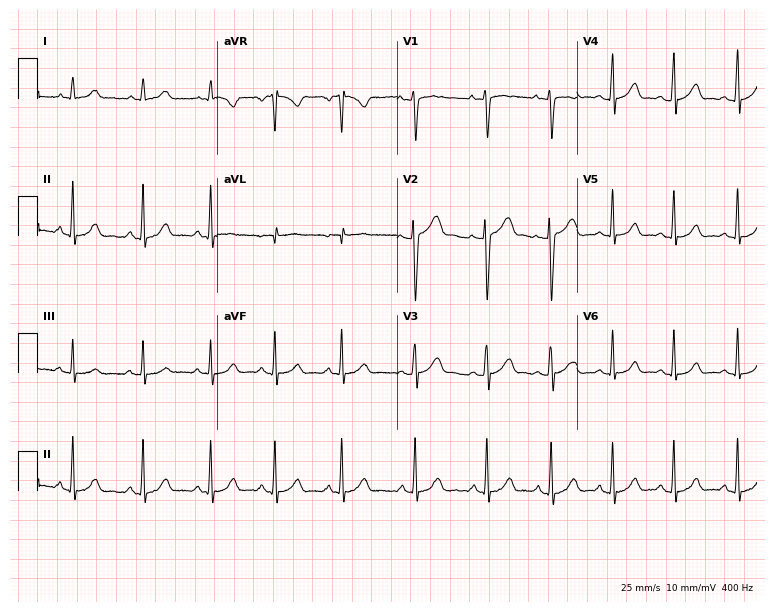
Resting 12-lead electrocardiogram (7.3-second recording at 400 Hz). Patient: a 25-year-old female. None of these six findings is recorded: first-degree AV block, right bundle branch block, left bundle branch block, sinus bradycardia, atrial fibrillation, sinus tachycardia. Findings outside these six are not listed.